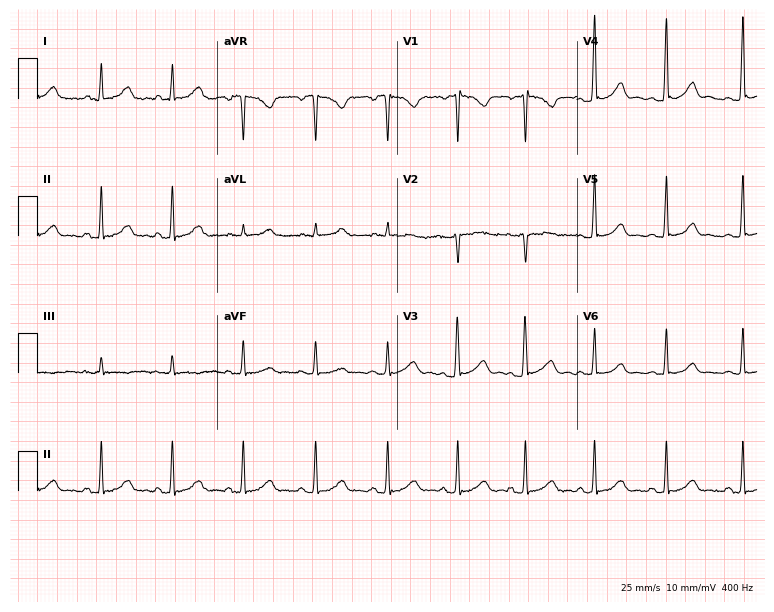
12-lead ECG (7.3-second recording at 400 Hz) from a 26-year-old woman. Labelled as a normal ECG.